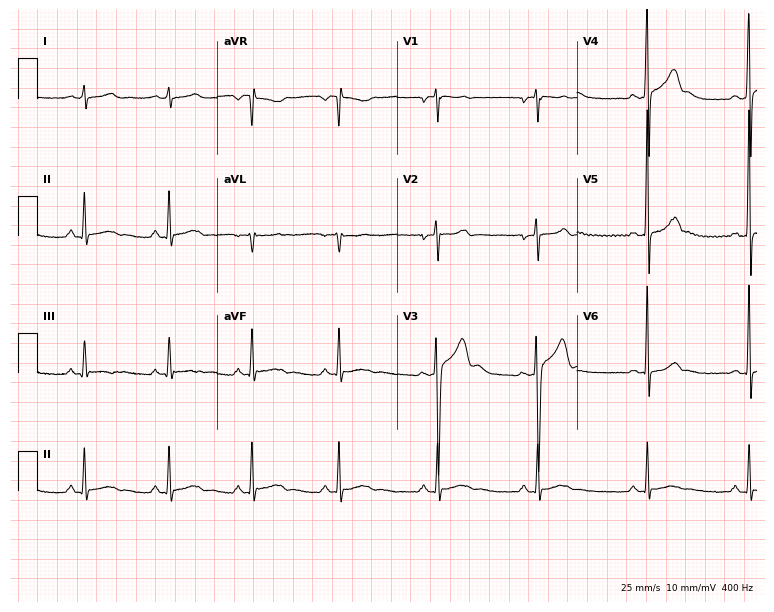
12-lead ECG (7.3-second recording at 400 Hz) from a man, 17 years old. Screened for six findings — first-degree AV block, right bundle branch block (RBBB), left bundle branch block (LBBB), sinus bradycardia, atrial fibrillation (AF), sinus tachycardia — none is recorded. Only these six findings were labelled.